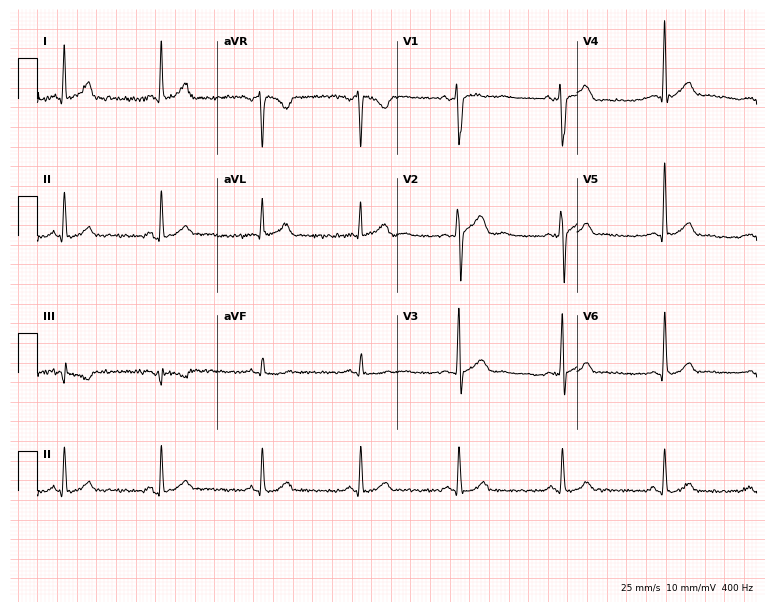
12-lead ECG from a male patient, 25 years old. No first-degree AV block, right bundle branch block (RBBB), left bundle branch block (LBBB), sinus bradycardia, atrial fibrillation (AF) or sinus tachycardia recorded for this tracing.